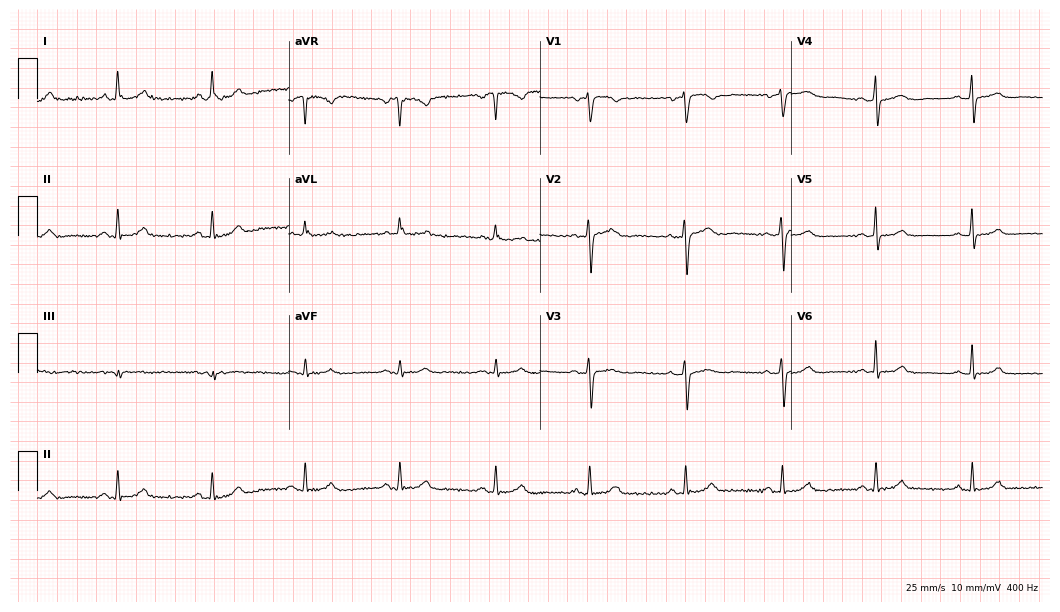
12-lead ECG from a female, 48 years old (10.2-second recording at 400 Hz). Recorded interpretation: within normal limits.